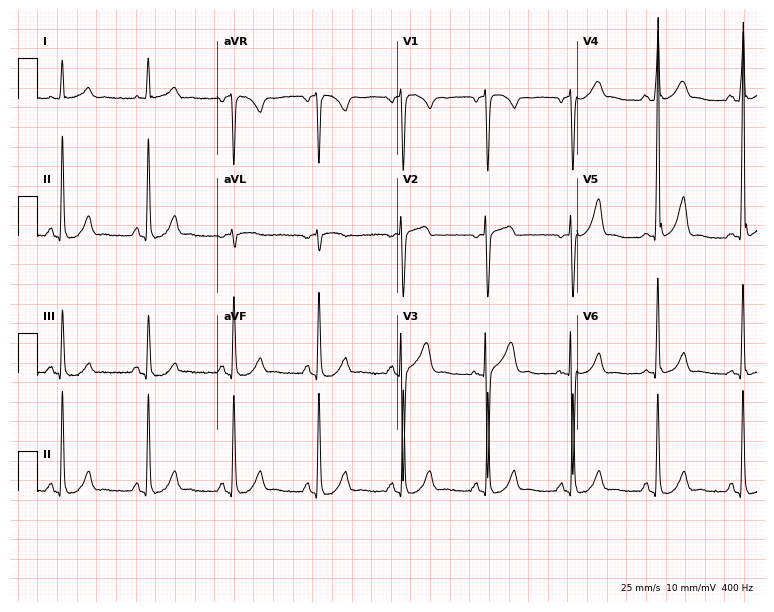
12-lead ECG from a male patient, 53 years old. Screened for six findings — first-degree AV block, right bundle branch block, left bundle branch block, sinus bradycardia, atrial fibrillation, sinus tachycardia — none is recorded.